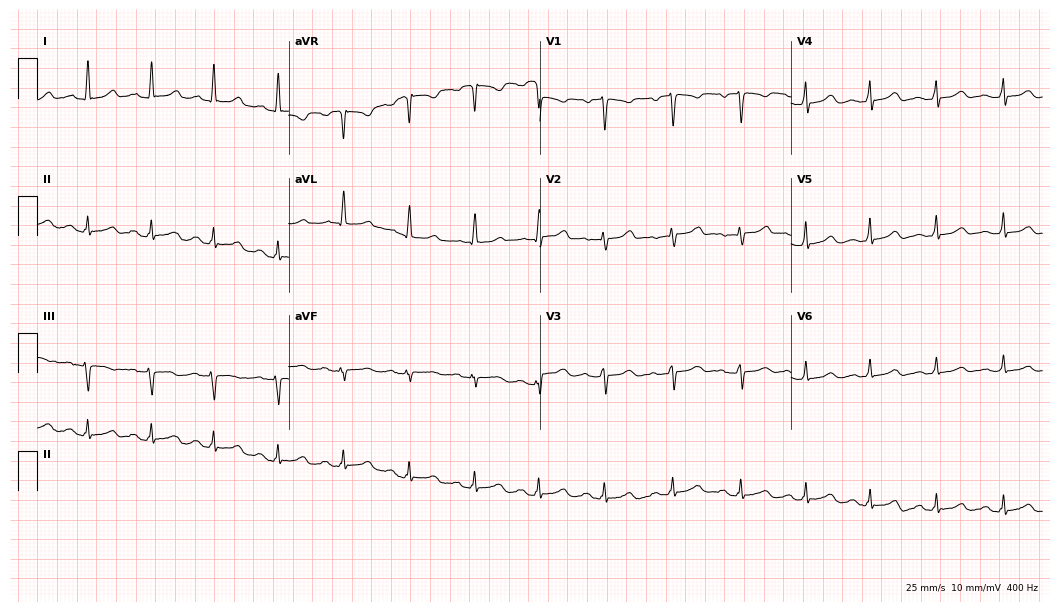
Standard 12-lead ECG recorded from a female patient, 37 years old. None of these six findings is recorded: first-degree AV block, right bundle branch block (RBBB), left bundle branch block (LBBB), sinus bradycardia, atrial fibrillation (AF), sinus tachycardia.